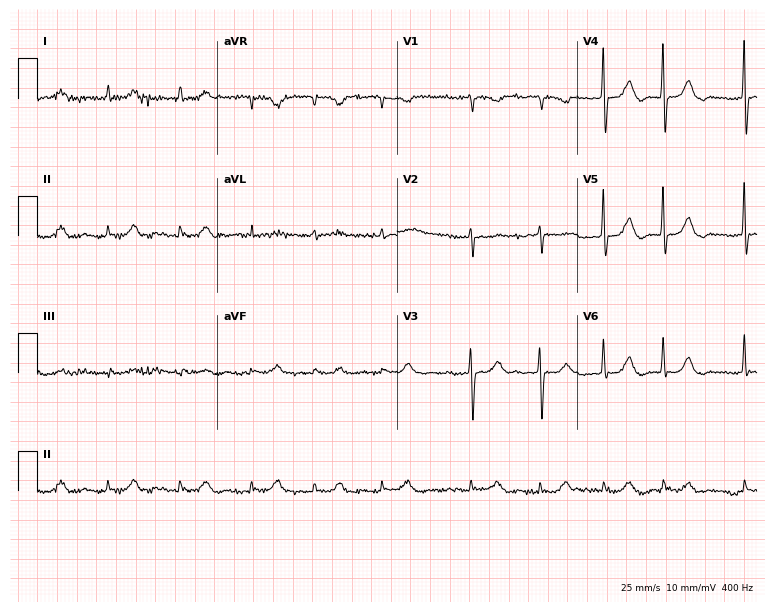
Resting 12-lead electrocardiogram. Patient: an 81-year-old female. None of these six findings is recorded: first-degree AV block, right bundle branch block, left bundle branch block, sinus bradycardia, atrial fibrillation, sinus tachycardia. Only these six findings were labelled.